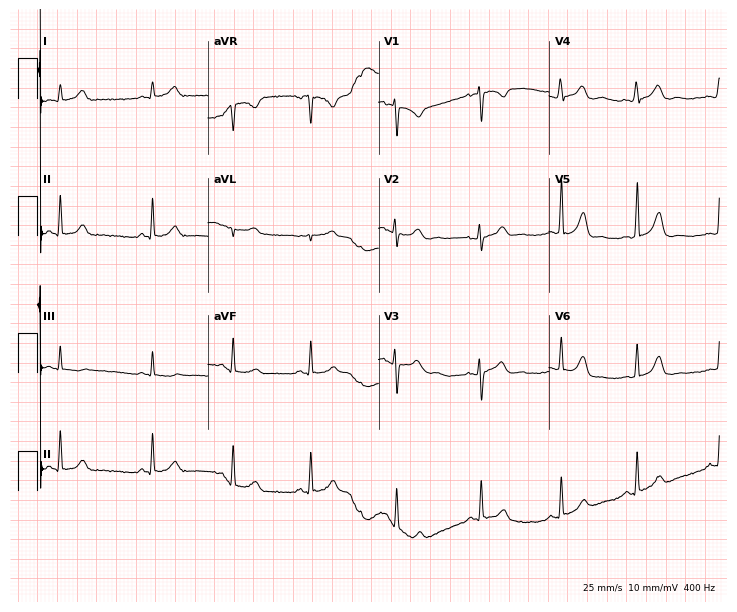
Electrocardiogram (7-second recording at 400 Hz), an 18-year-old female patient. Overall reading on record: normal ECG.